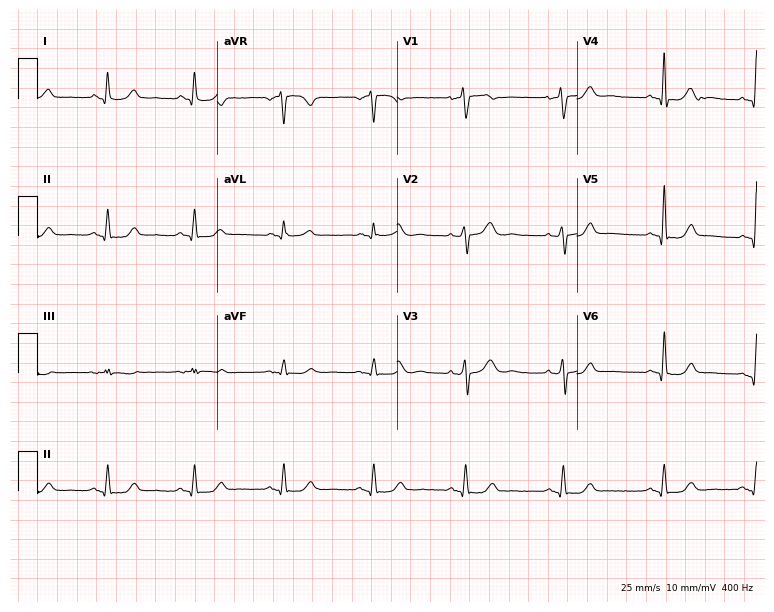
12-lead ECG from a 52-year-old female. No first-degree AV block, right bundle branch block, left bundle branch block, sinus bradycardia, atrial fibrillation or sinus tachycardia recorded for this tracing.